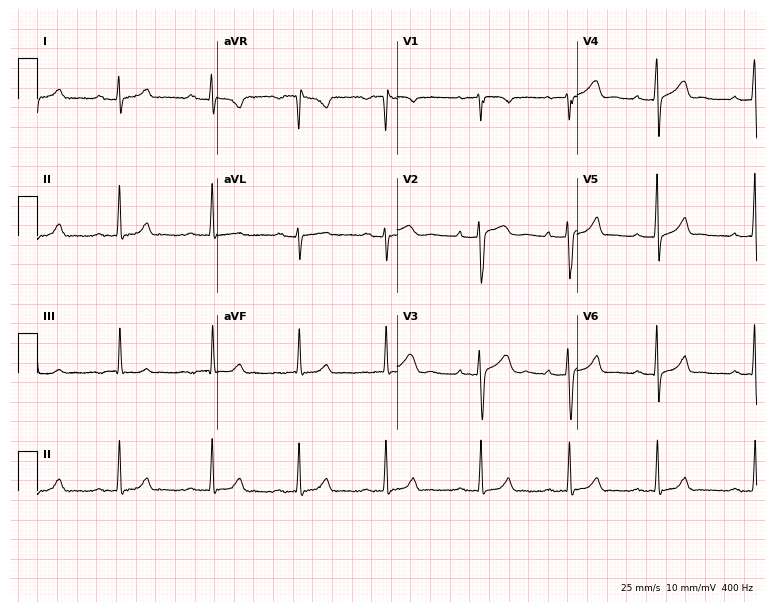
12-lead ECG from a 19-year-old female. Labelled as a normal ECG.